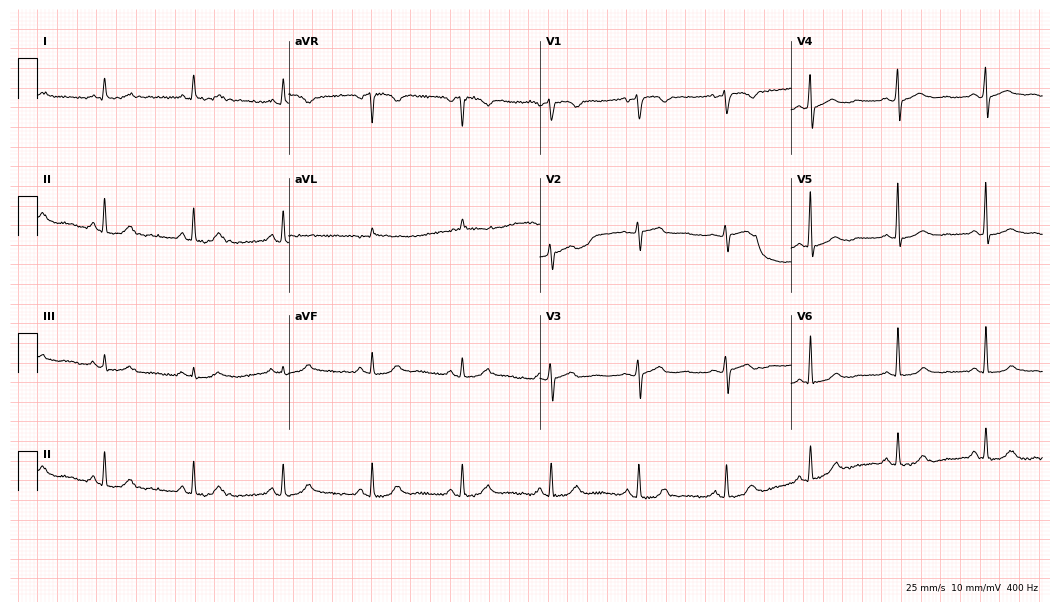
Electrocardiogram (10.2-second recording at 400 Hz), a 55-year-old woman. Of the six screened findings (first-degree AV block, right bundle branch block, left bundle branch block, sinus bradycardia, atrial fibrillation, sinus tachycardia), none is recorded. Only these six findings were labelled.